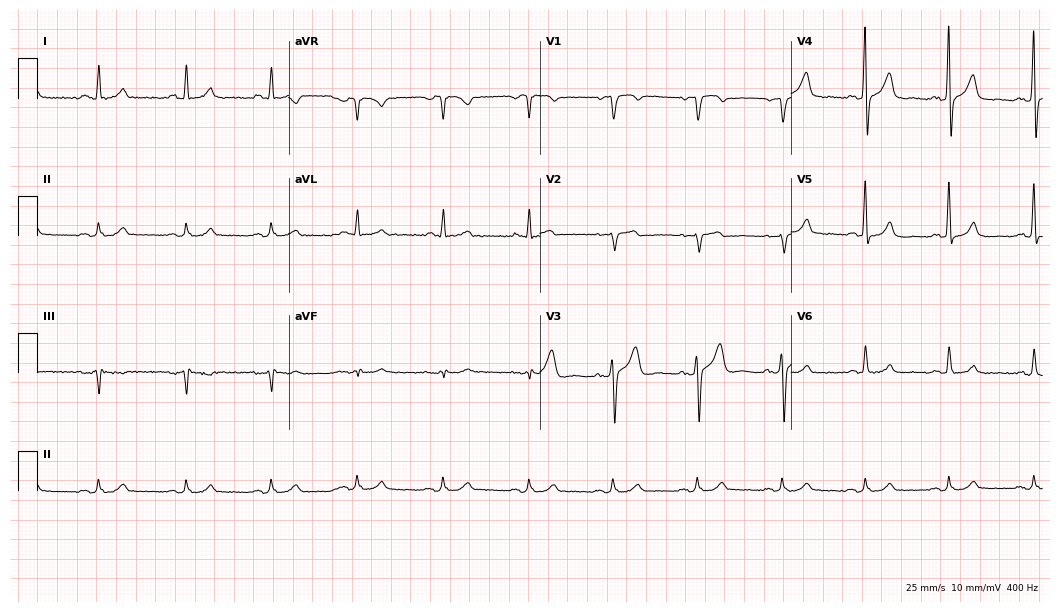
Electrocardiogram (10.2-second recording at 400 Hz), a 57-year-old man. Overall reading on record: normal ECG.